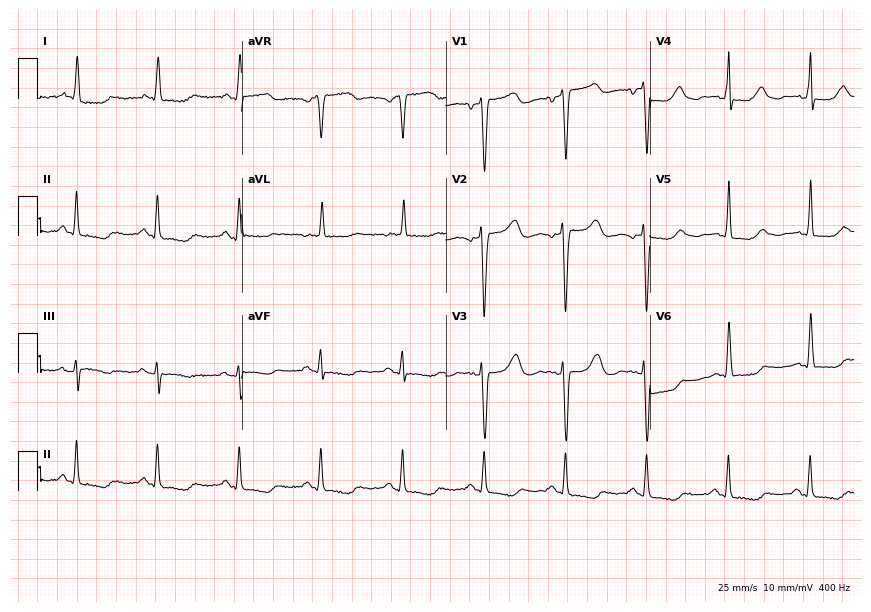
12-lead ECG from a 59-year-old female patient (8.3-second recording at 400 Hz). No first-degree AV block, right bundle branch block (RBBB), left bundle branch block (LBBB), sinus bradycardia, atrial fibrillation (AF) or sinus tachycardia recorded for this tracing.